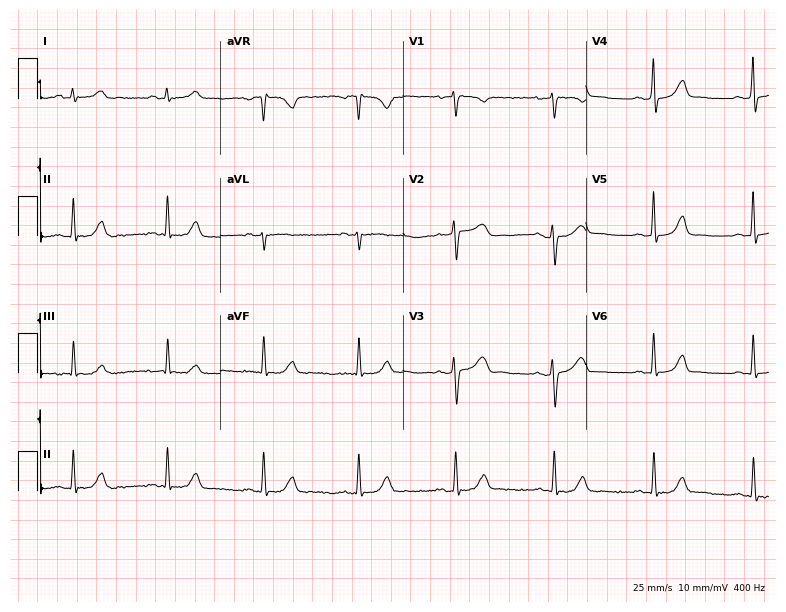
12-lead ECG from a female patient, 31 years old (7.5-second recording at 400 Hz). No first-degree AV block, right bundle branch block (RBBB), left bundle branch block (LBBB), sinus bradycardia, atrial fibrillation (AF) or sinus tachycardia recorded for this tracing. Only these six findings were labelled.